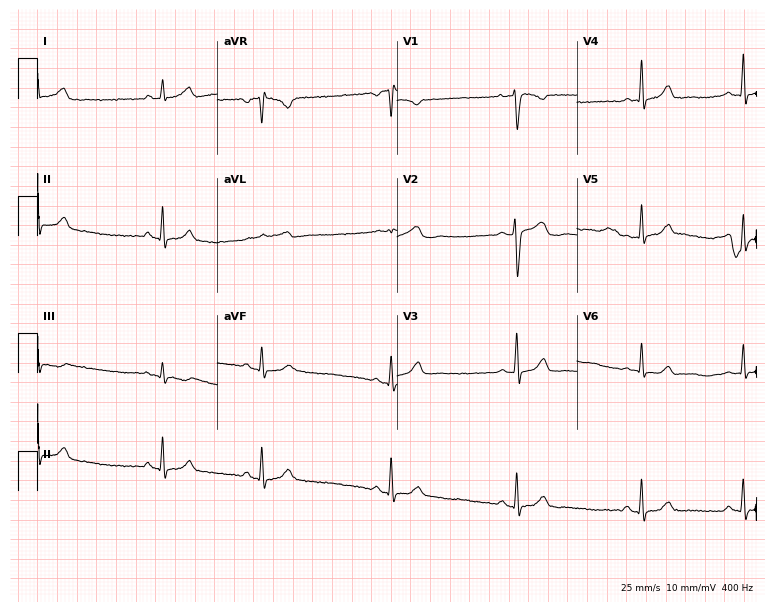
12-lead ECG (7.3-second recording at 400 Hz) from a 45-year-old female. Screened for six findings — first-degree AV block, right bundle branch block, left bundle branch block, sinus bradycardia, atrial fibrillation, sinus tachycardia — none is recorded.